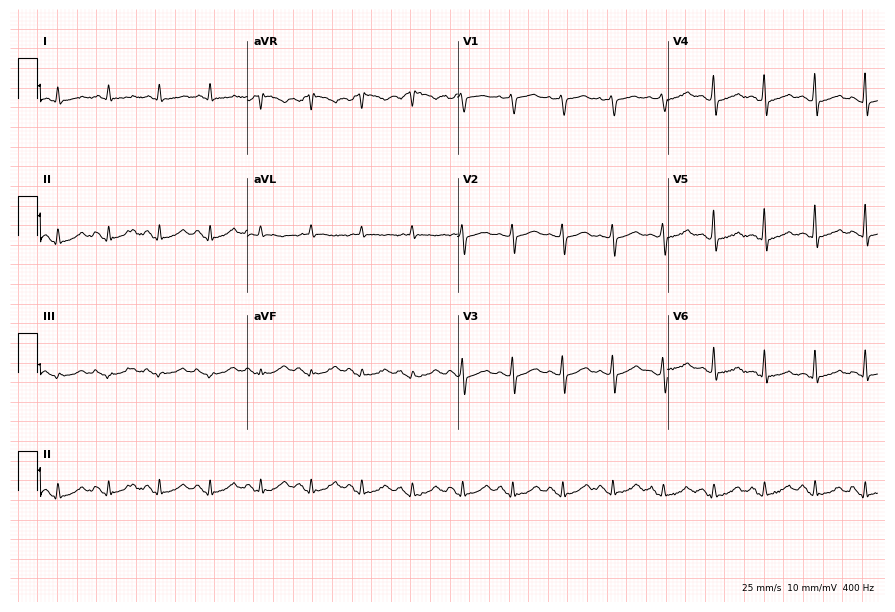
12-lead ECG from a male patient, 70 years old. Findings include sinus tachycardia (a sinus rate of 100 beats per minute or more).